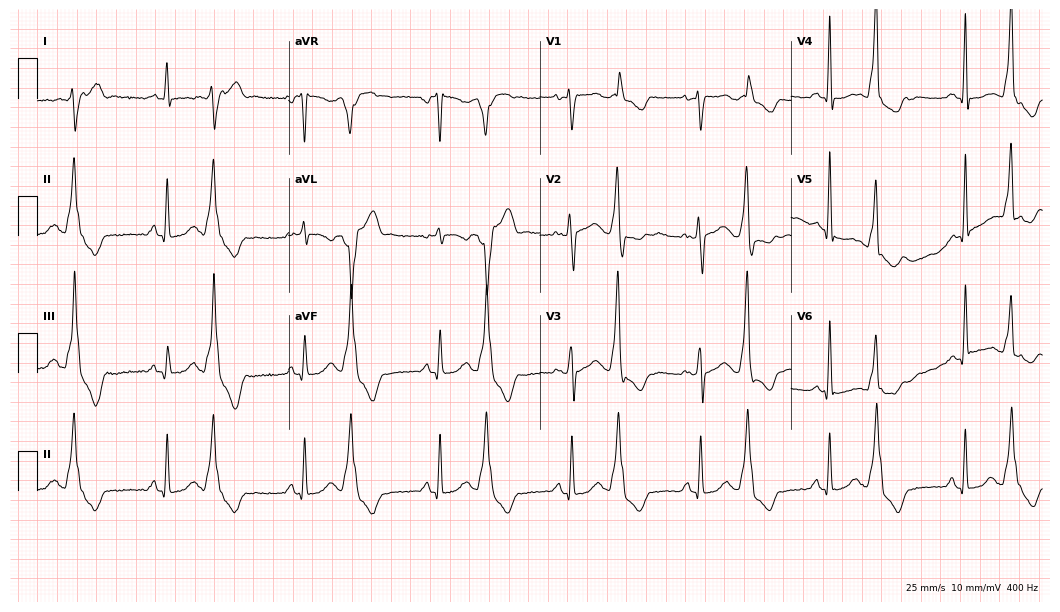
12-lead ECG (10.2-second recording at 400 Hz) from a female patient, 38 years old. Screened for six findings — first-degree AV block, right bundle branch block, left bundle branch block, sinus bradycardia, atrial fibrillation, sinus tachycardia — none is recorded.